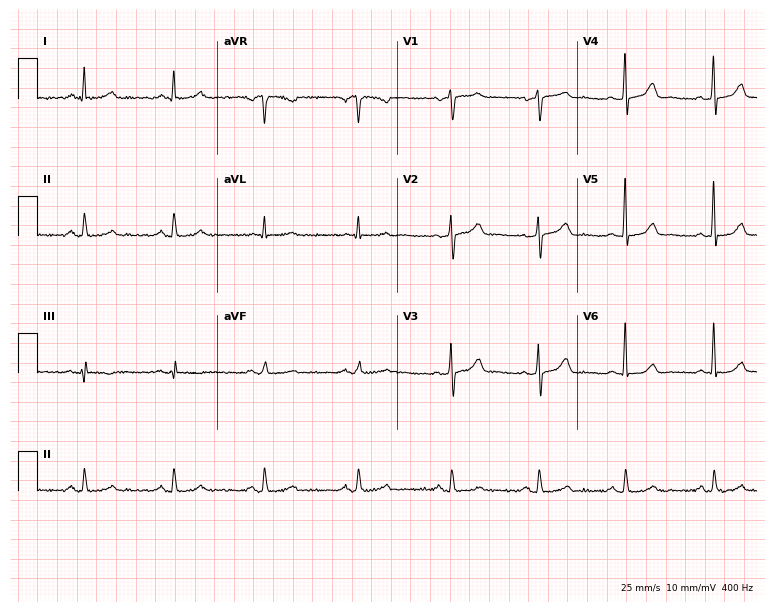
12-lead ECG from a female, 42 years old (7.3-second recording at 400 Hz). Recorded interpretation: within normal limits.